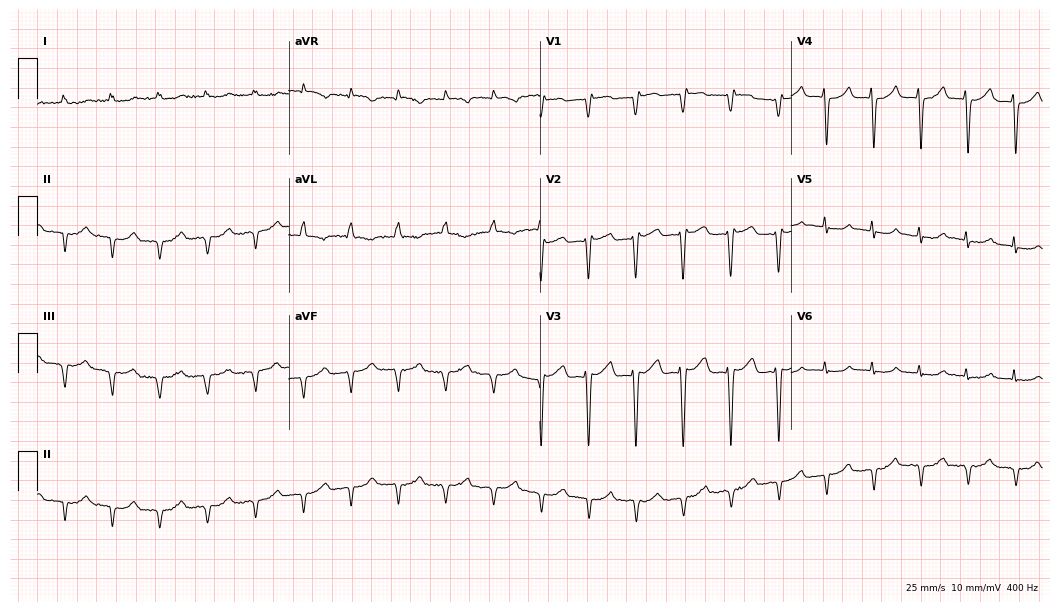
Electrocardiogram, an 84-year-old male patient. Of the six screened findings (first-degree AV block, right bundle branch block, left bundle branch block, sinus bradycardia, atrial fibrillation, sinus tachycardia), none is recorded.